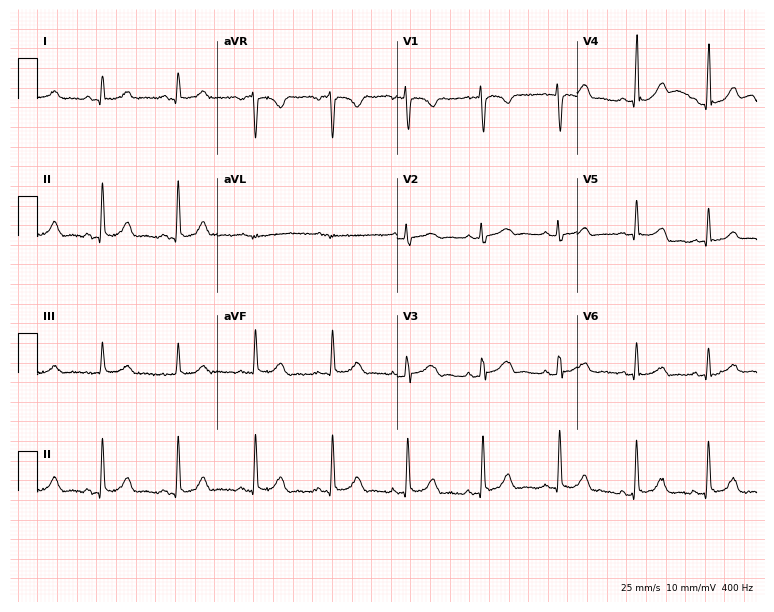
Electrocardiogram (7.3-second recording at 400 Hz), a 23-year-old woman. Of the six screened findings (first-degree AV block, right bundle branch block, left bundle branch block, sinus bradycardia, atrial fibrillation, sinus tachycardia), none is recorded.